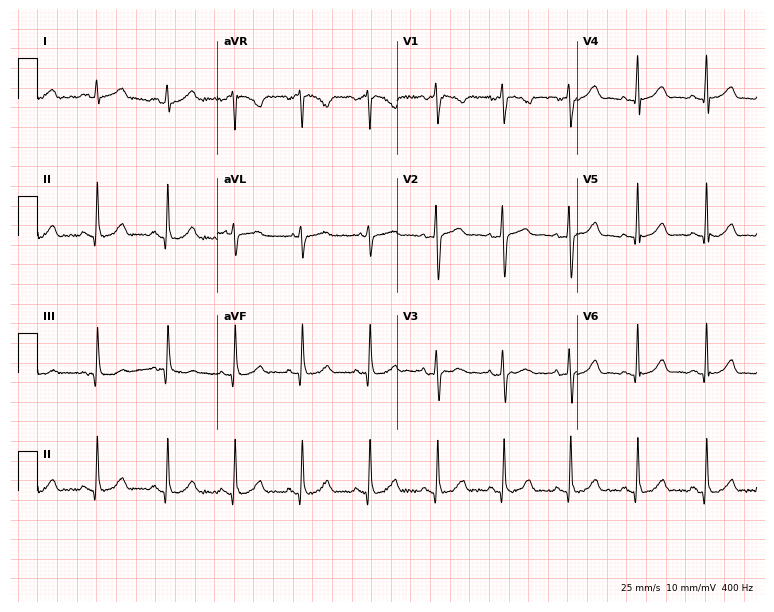
Electrocardiogram (7.3-second recording at 400 Hz), a 29-year-old female patient. Overall reading on record: normal ECG.